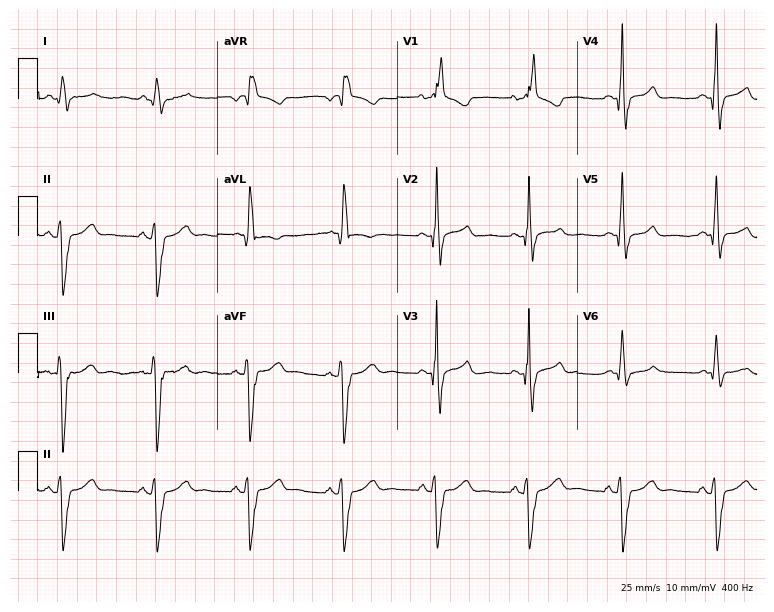
ECG (7.3-second recording at 400 Hz) — a 63-year-old male. Findings include right bundle branch block.